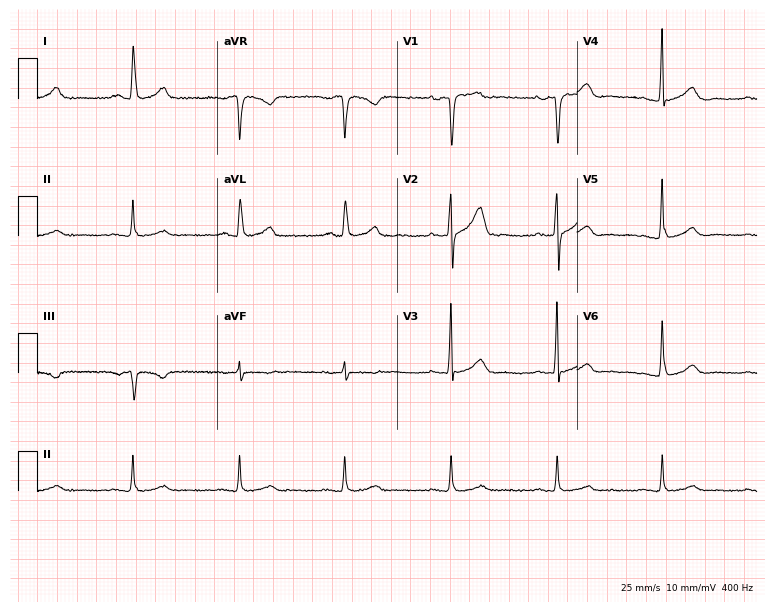
Electrocardiogram (7.3-second recording at 400 Hz), a man, 53 years old. Overall reading on record: normal ECG.